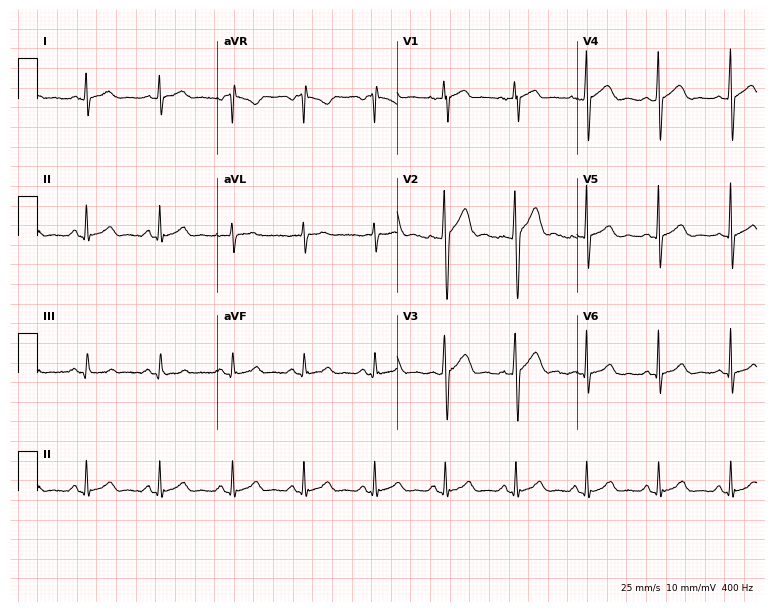
12-lead ECG (7.3-second recording at 400 Hz) from a male patient, 39 years old. Labelled as a normal ECG.